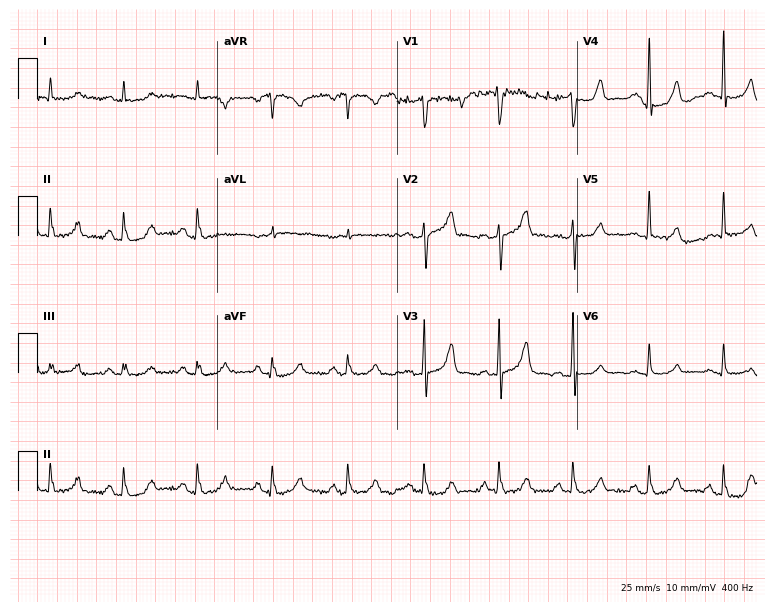
12-lead ECG from a male, 59 years old. Labelled as a normal ECG.